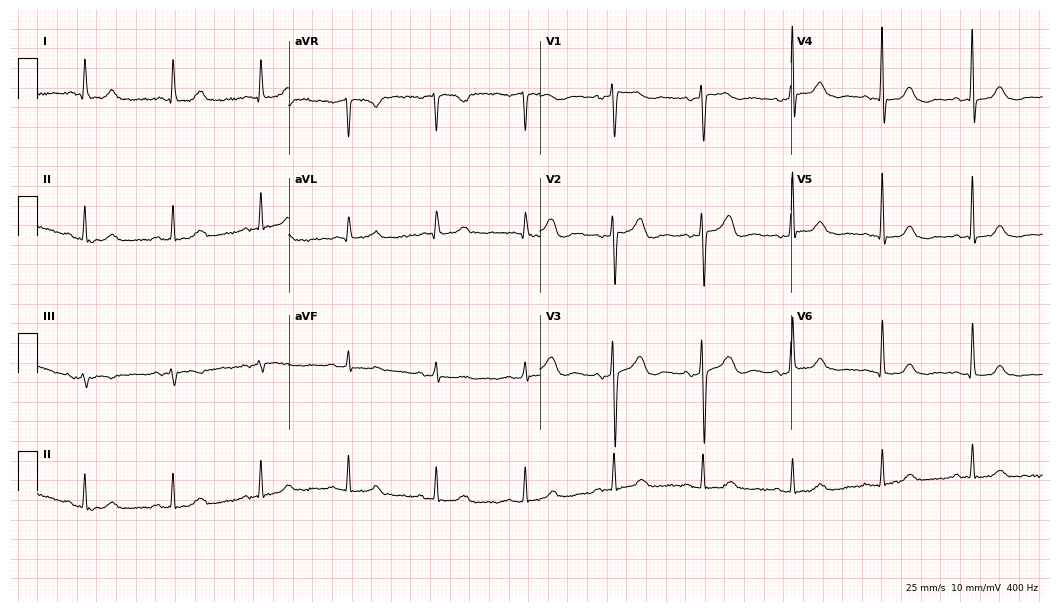
Electrocardiogram, an 85-year-old female. Of the six screened findings (first-degree AV block, right bundle branch block, left bundle branch block, sinus bradycardia, atrial fibrillation, sinus tachycardia), none is recorded.